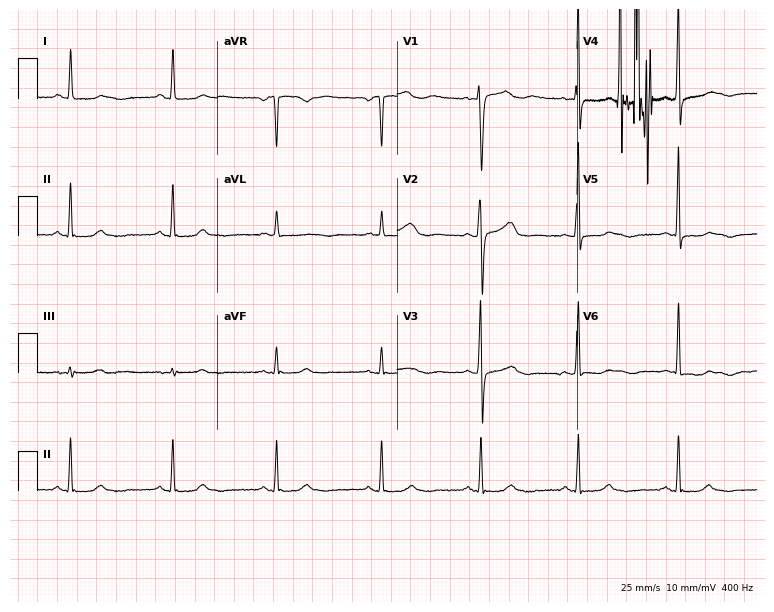
Resting 12-lead electrocardiogram (7.3-second recording at 400 Hz). Patient: a female, 39 years old. None of these six findings is recorded: first-degree AV block, right bundle branch block, left bundle branch block, sinus bradycardia, atrial fibrillation, sinus tachycardia. Only these six findings were labelled.